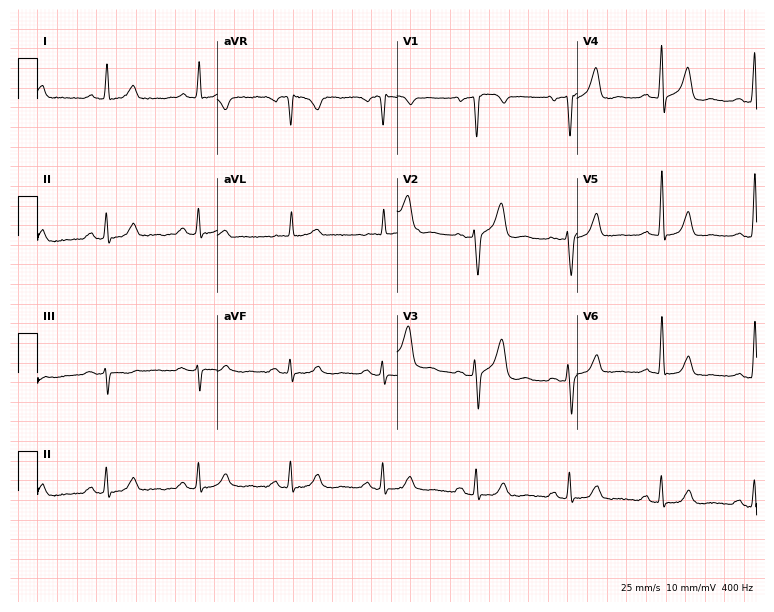
12-lead ECG from a male, 66 years old. Screened for six findings — first-degree AV block, right bundle branch block, left bundle branch block, sinus bradycardia, atrial fibrillation, sinus tachycardia — none is recorded. Other findings, if any, are not listed.